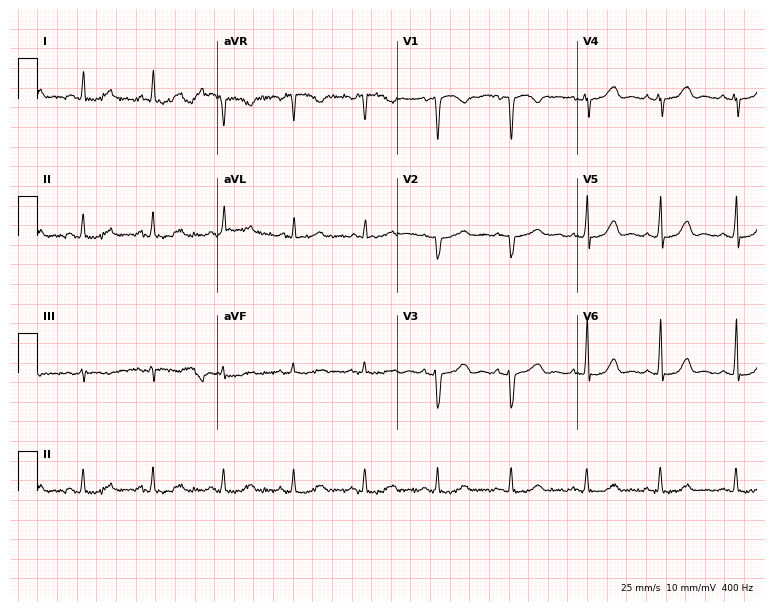
ECG — a 48-year-old female. Labelled as a normal ECG.